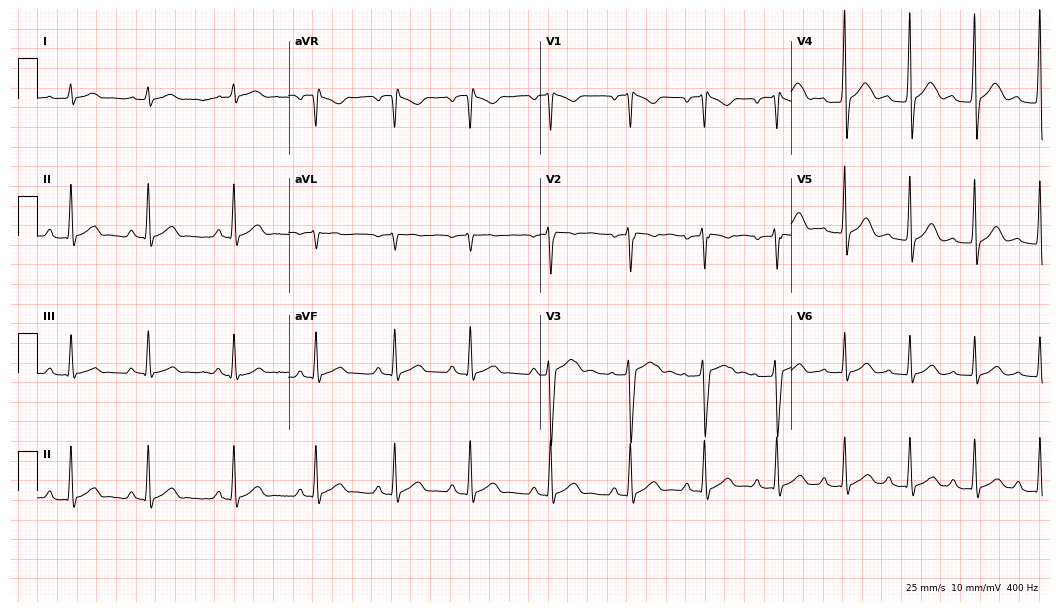
12-lead ECG (10.2-second recording at 400 Hz) from a 25-year-old male patient. Screened for six findings — first-degree AV block, right bundle branch block, left bundle branch block, sinus bradycardia, atrial fibrillation, sinus tachycardia — none is recorded.